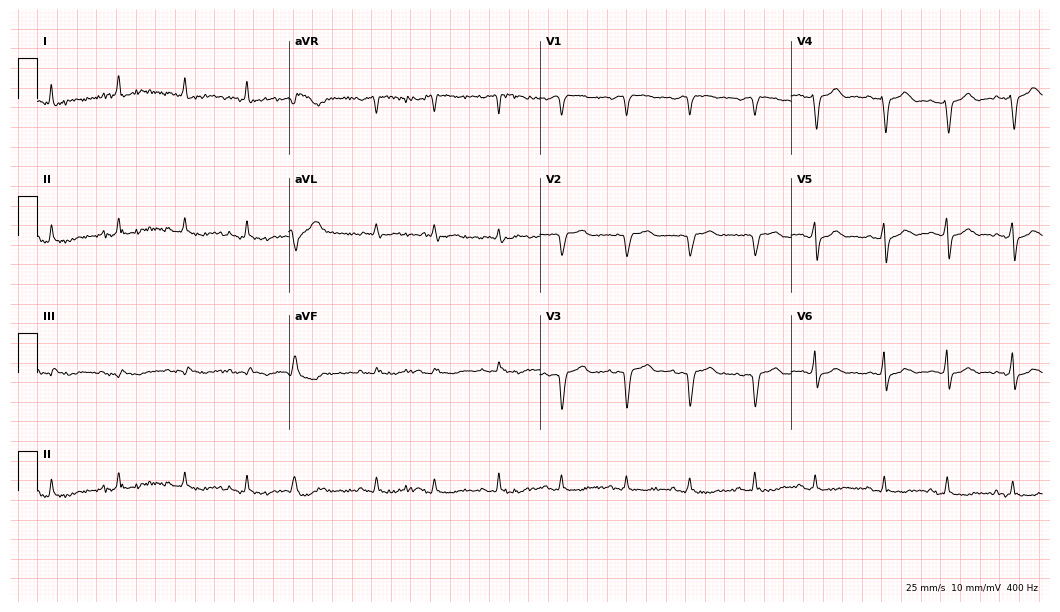
12-lead ECG from a woman, 85 years old. Screened for six findings — first-degree AV block, right bundle branch block, left bundle branch block, sinus bradycardia, atrial fibrillation, sinus tachycardia — none is recorded. Findings outside these six are not listed.